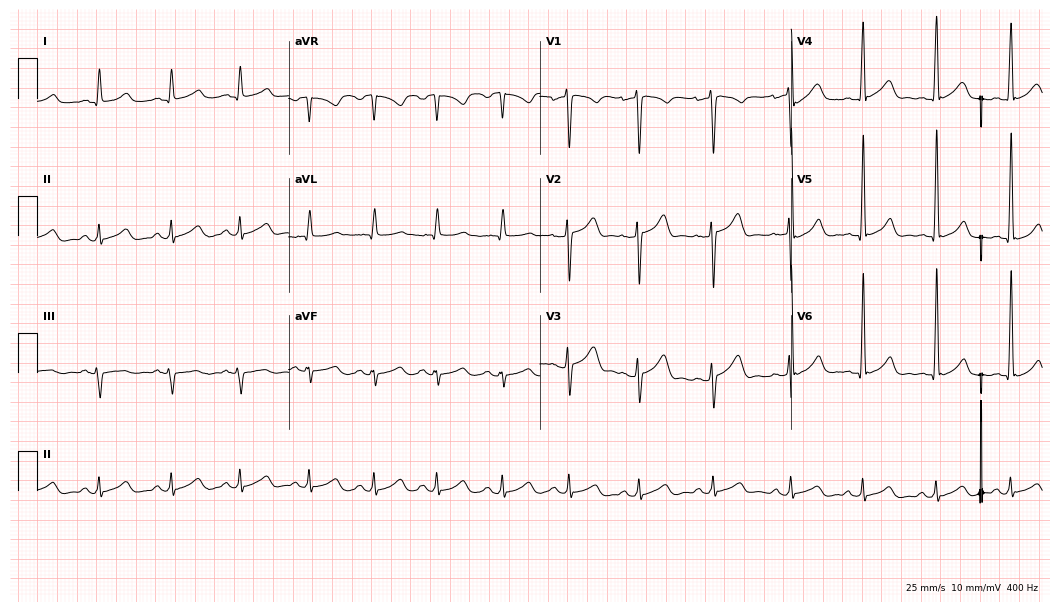
Resting 12-lead electrocardiogram. Patient: a 27-year-old woman. Read as a normal ECG.